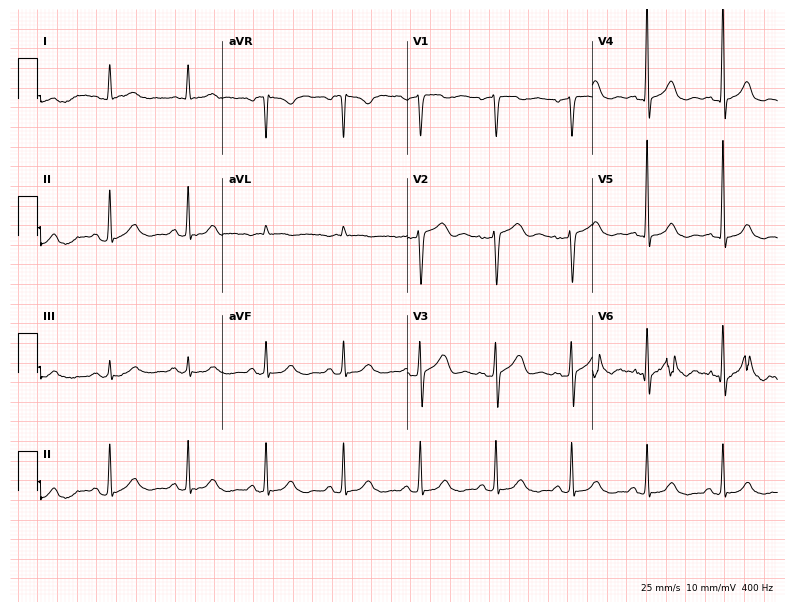
12-lead ECG from a female, 83 years old. Labelled as a normal ECG.